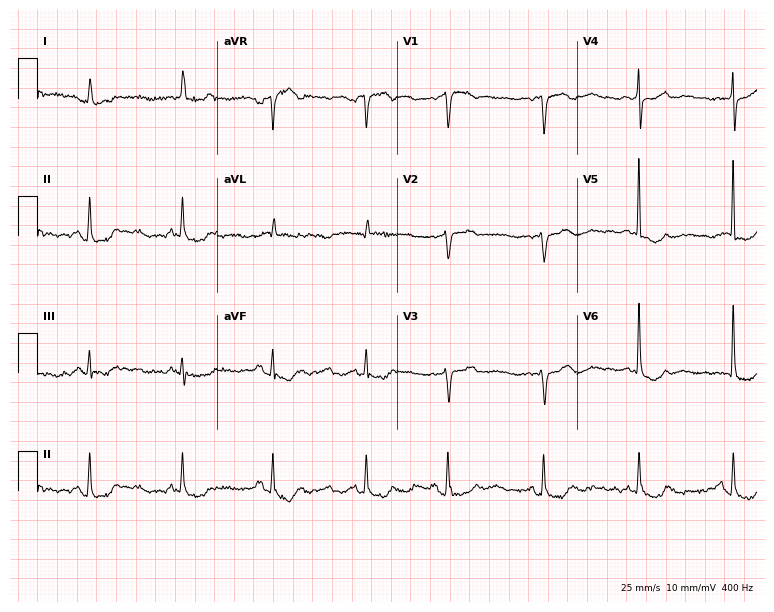
12-lead ECG from a female patient, 70 years old. Screened for six findings — first-degree AV block, right bundle branch block, left bundle branch block, sinus bradycardia, atrial fibrillation, sinus tachycardia — none is recorded.